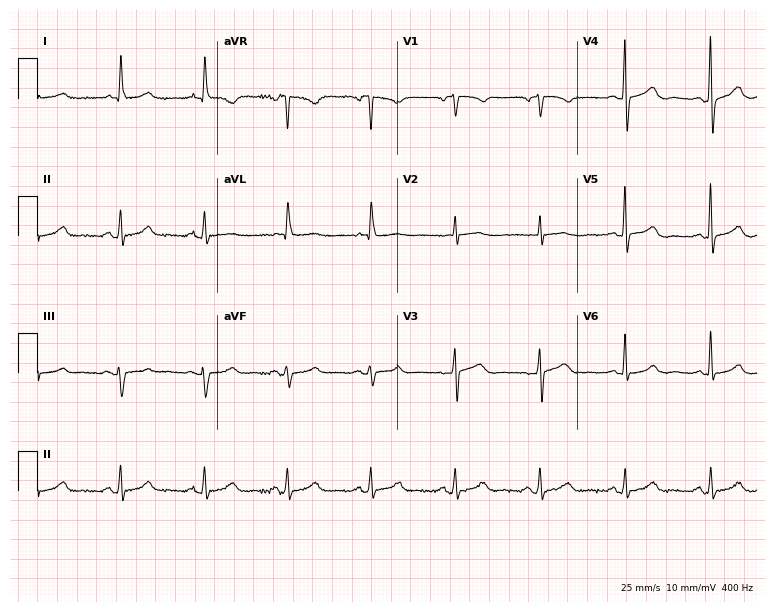
Electrocardiogram (7.3-second recording at 400 Hz), a woman, 72 years old. Overall reading on record: normal ECG.